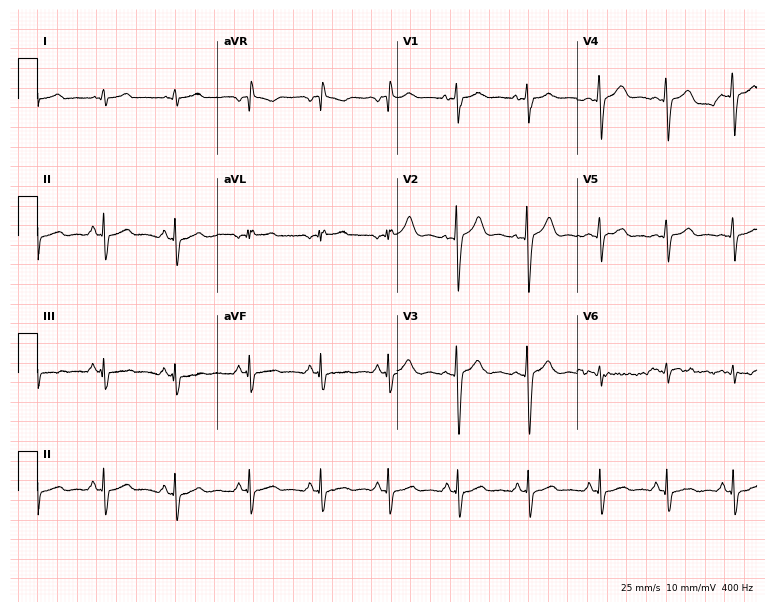
Resting 12-lead electrocardiogram (7.3-second recording at 400 Hz). Patient: a 21-year-old man. None of these six findings is recorded: first-degree AV block, right bundle branch block, left bundle branch block, sinus bradycardia, atrial fibrillation, sinus tachycardia. Findings outside these six are not listed.